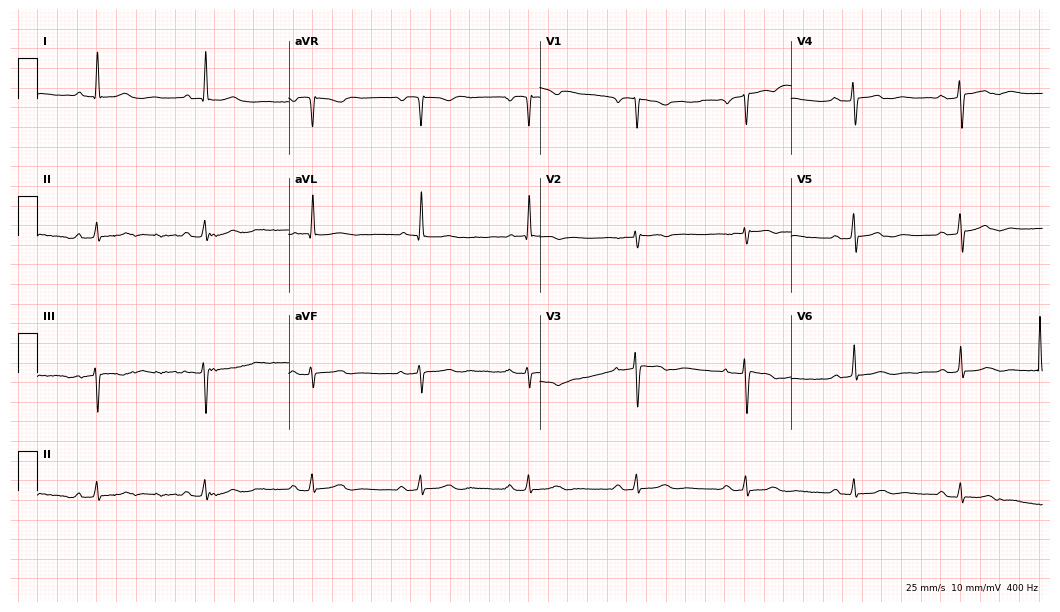
Standard 12-lead ECG recorded from an 82-year-old female. None of these six findings is recorded: first-degree AV block, right bundle branch block, left bundle branch block, sinus bradycardia, atrial fibrillation, sinus tachycardia. Other findings, if any, are not listed.